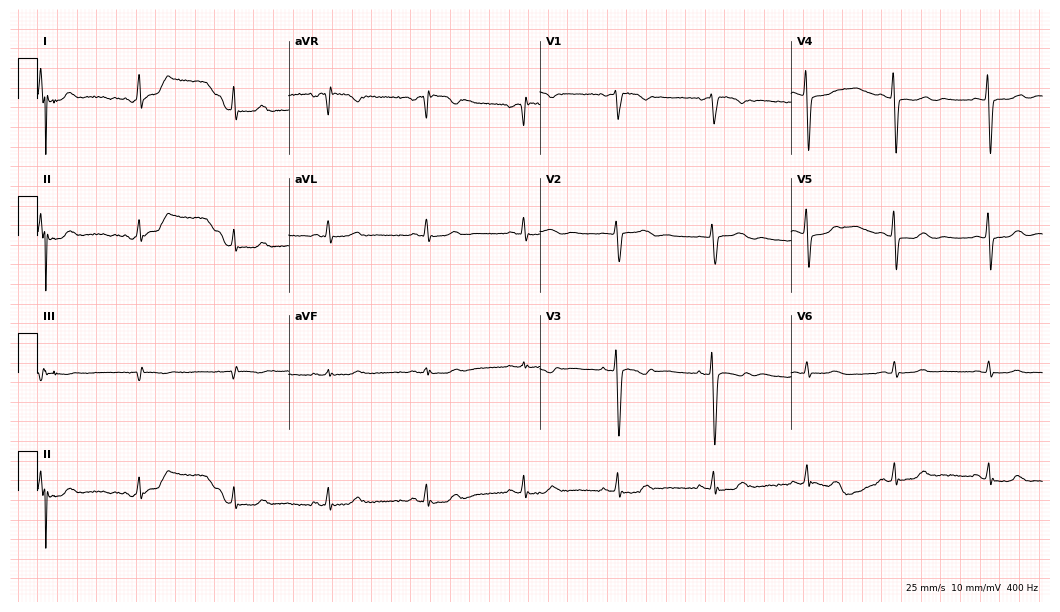
12-lead ECG from a 40-year-old woman. Screened for six findings — first-degree AV block, right bundle branch block, left bundle branch block, sinus bradycardia, atrial fibrillation, sinus tachycardia — none is recorded.